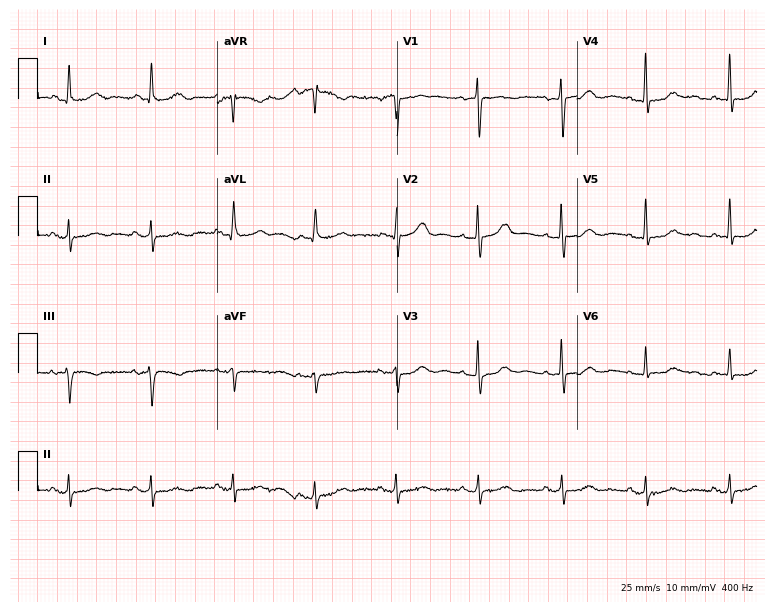
12-lead ECG from a female, 75 years old. Screened for six findings — first-degree AV block, right bundle branch block (RBBB), left bundle branch block (LBBB), sinus bradycardia, atrial fibrillation (AF), sinus tachycardia — none is recorded. Only these six findings were labelled.